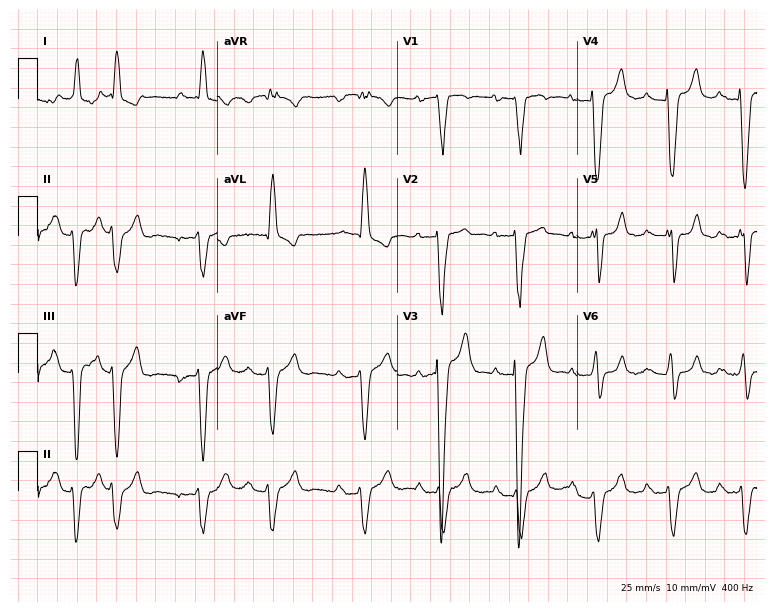
Resting 12-lead electrocardiogram (7.3-second recording at 400 Hz). Patient: a 58-year-old male. The tracing shows first-degree AV block, left bundle branch block.